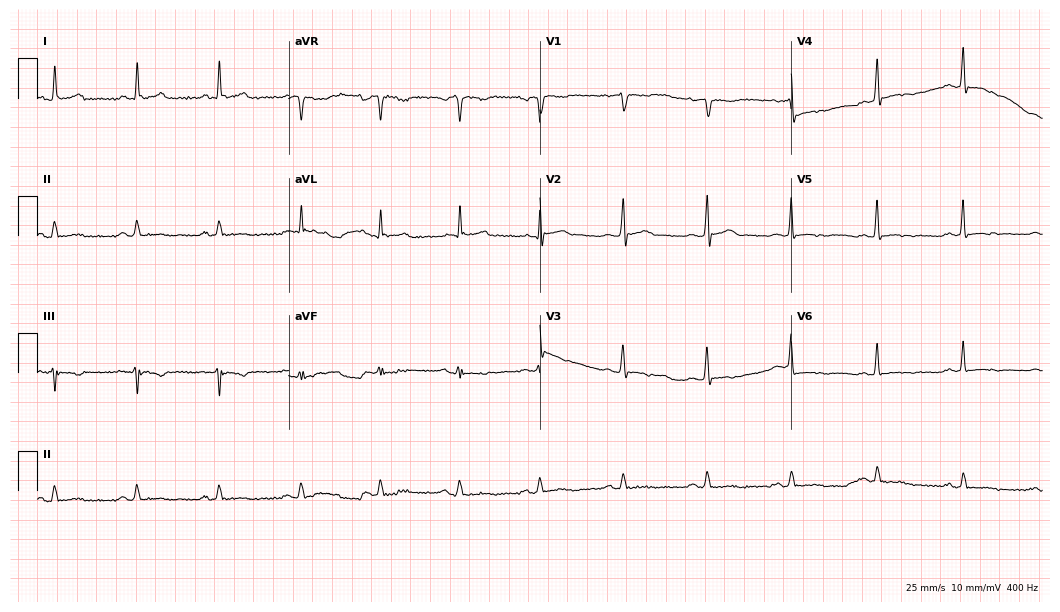
Resting 12-lead electrocardiogram (10.2-second recording at 400 Hz). Patient: a 41-year-old man. None of these six findings is recorded: first-degree AV block, right bundle branch block, left bundle branch block, sinus bradycardia, atrial fibrillation, sinus tachycardia. Findings outside these six are not listed.